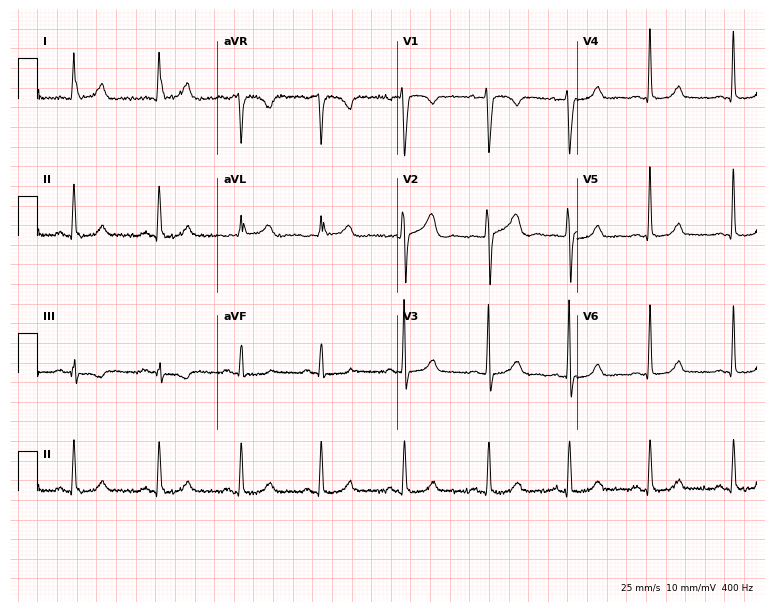
Standard 12-lead ECG recorded from a 36-year-old woman. Read as a normal ECG.